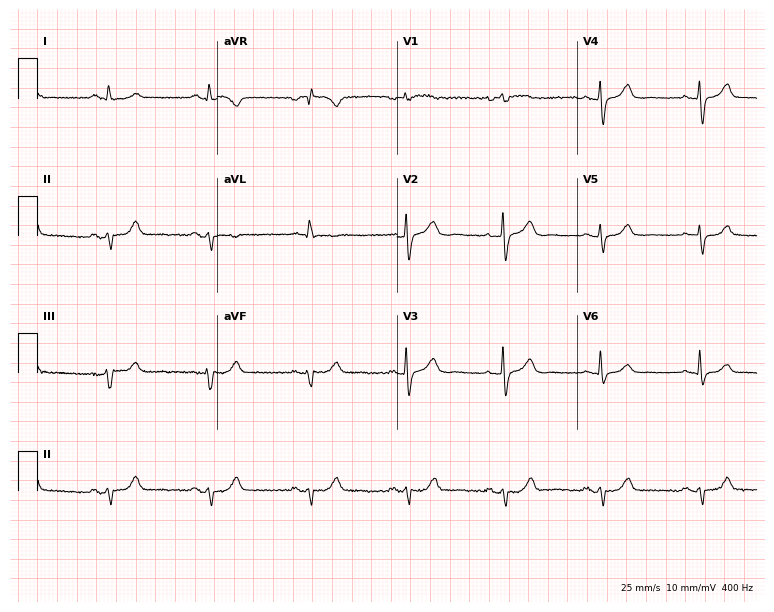
Electrocardiogram, a female, 74 years old. Of the six screened findings (first-degree AV block, right bundle branch block (RBBB), left bundle branch block (LBBB), sinus bradycardia, atrial fibrillation (AF), sinus tachycardia), none is recorded. Other findings, if any, are not listed.